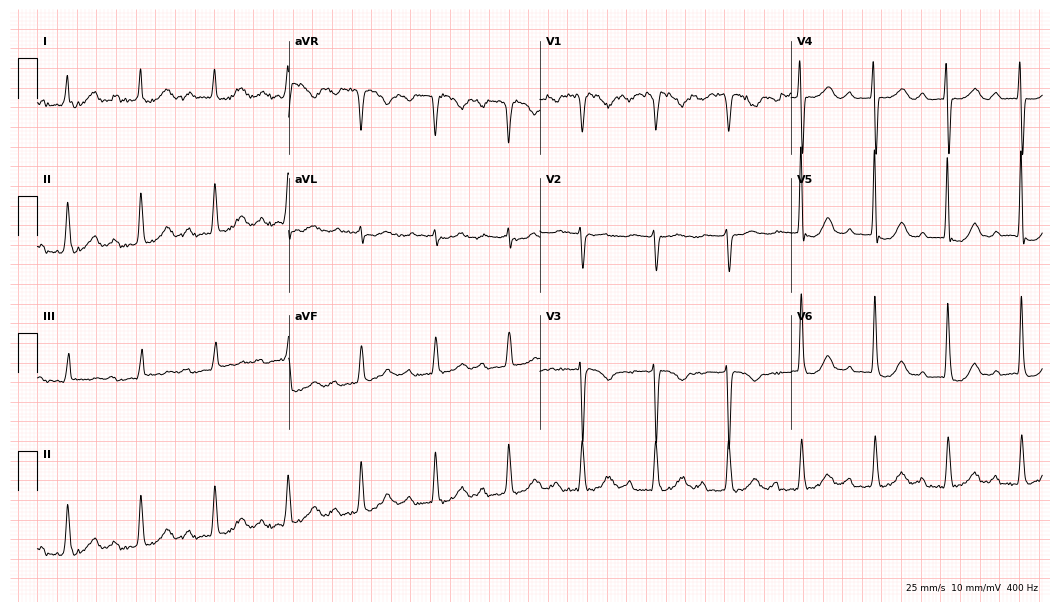
Standard 12-lead ECG recorded from a male patient, 23 years old. The tracing shows first-degree AV block.